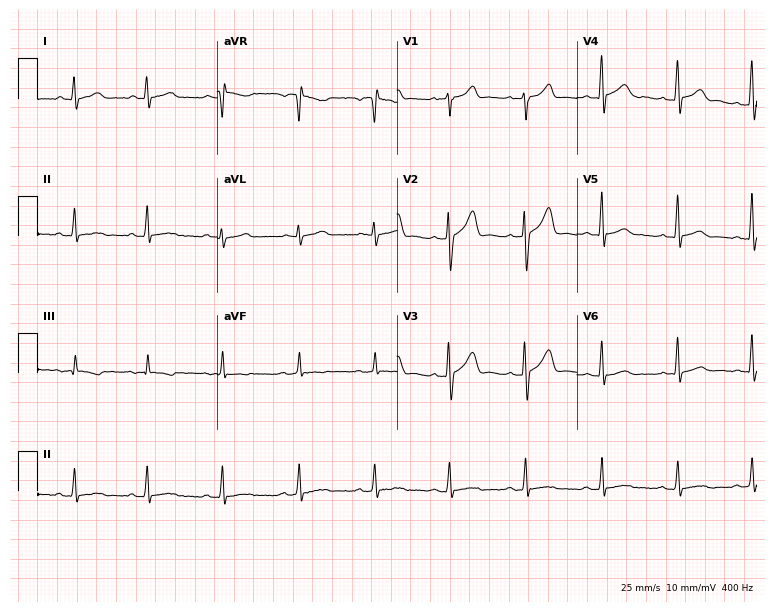
ECG — a male patient, 35 years old. Screened for six findings — first-degree AV block, right bundle branch block, left bundle branch block, sinus bradycardia, atrial fibrillation, sinus tachycardia — none is recorded.